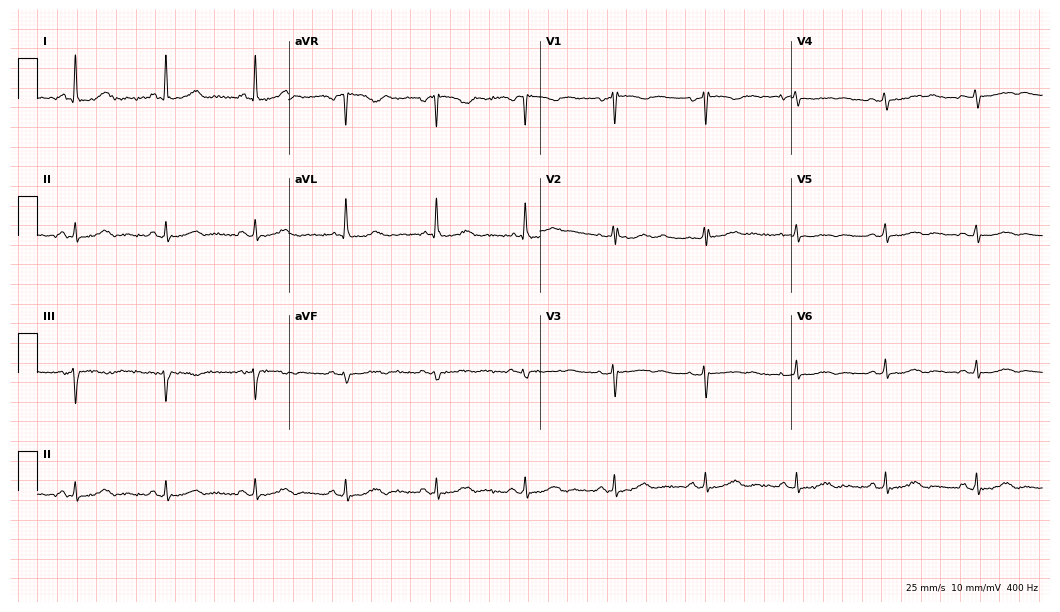
Standard 12-lead ECG recorded from a woman, 44 years old. None of these six findings is recorded: first-degree AV block, right bundle branch block, left bundle branch block, sinus bradycardia, atrial fibrillation, sinus tachycardia. Other findings, if any, are not listed.